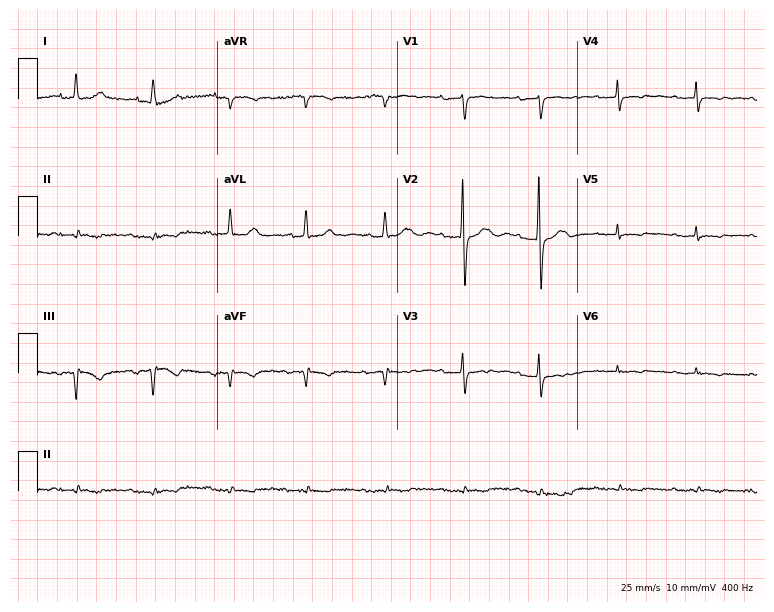
Resting 12-lead electrocardiogram. Patient: an 85-year-old female. None of these six findings is recorded: first-degree AV block, right bundle branch block, left bundle branch block, sinus bradycardia, atrial fibrillation, sinus tachycardia.